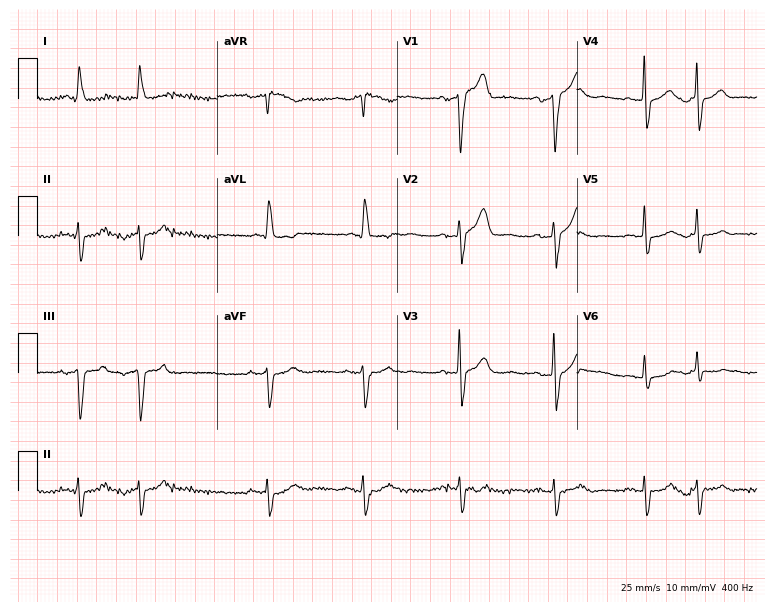
Electrocardiogram (7.3-second recording at 400 Hz), a man, 80 years old. Of the six screened findings (first-degree AV block, right bundle branch block, left bundle branch block, sinus bradycardia, atrial fibrillation, sinus tachycardia), none is recorded. Other findings, if any, are not listed.